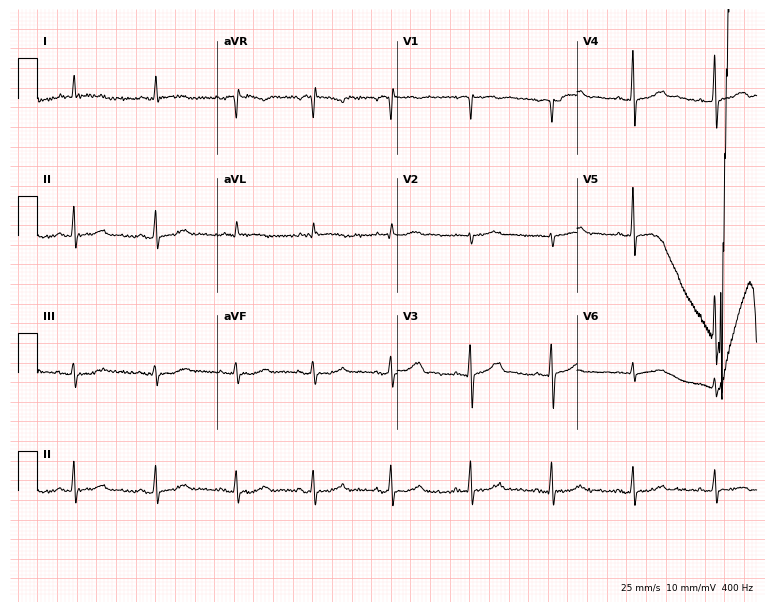
12-lead ECG from a female patient, 72 years old. Screened for six findings — first-degree AV block, right bundle branch block, left bundle branch block, sinus bradycardia, atrial fibrillation, sinus tachycardia — none is recorded.